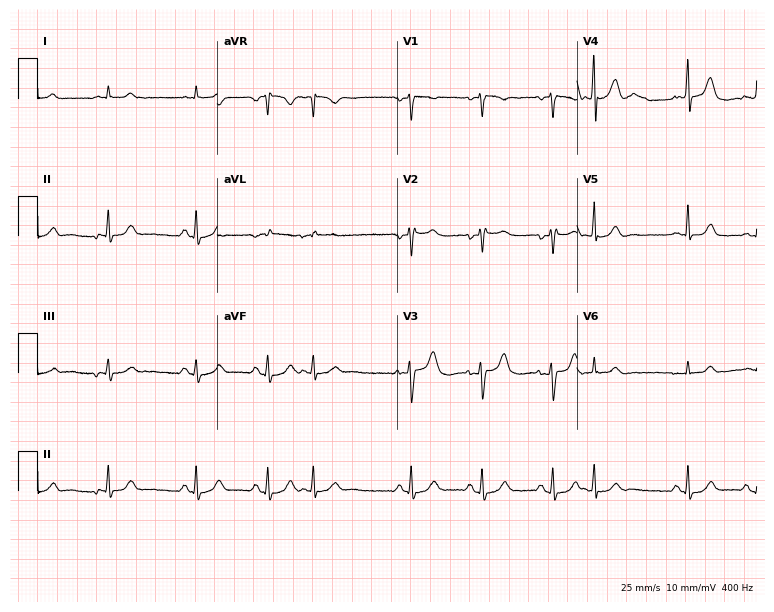
Standard 12-lead ECG recorded from a female, 56 years old (7.3-second recording at 400 Hz). None of these six findings is recorded: first-degree AV block, right bundle branch block, left bundle branch block, sinus bradycardia, atrial fibrillation, sinus tachycardia. Other findings, if any, are not listed.